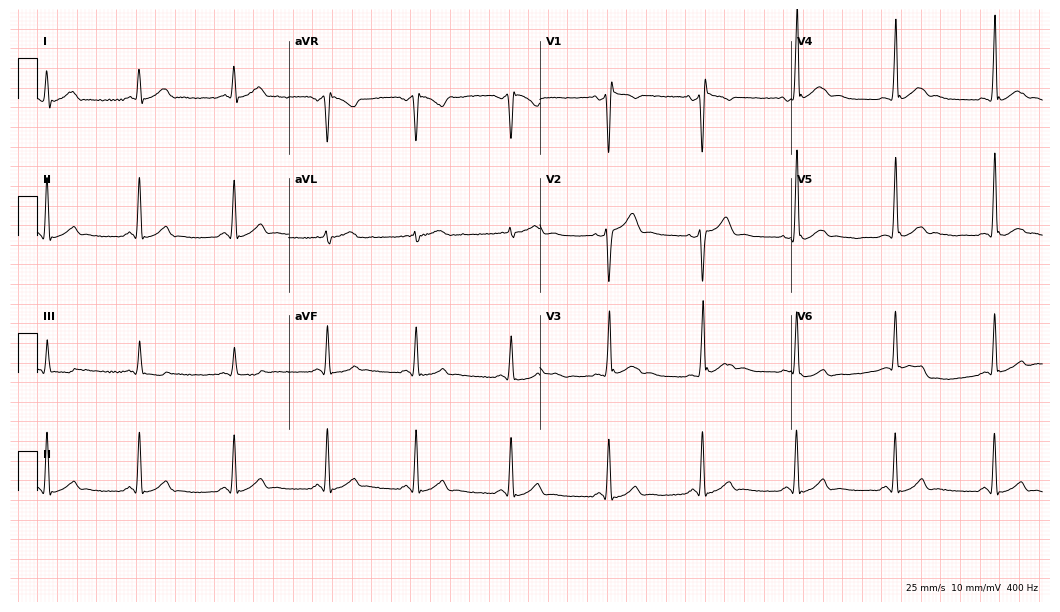
Electrocardiogram (10.2-second recording at 400 Hz), a male, 27 years old. Of the six screened findings (first-degree AV block, right bundle branch block, left bundle branch block, sinus bradycardia, atrial fibrillation, sinus tachycardia), none is recorded.